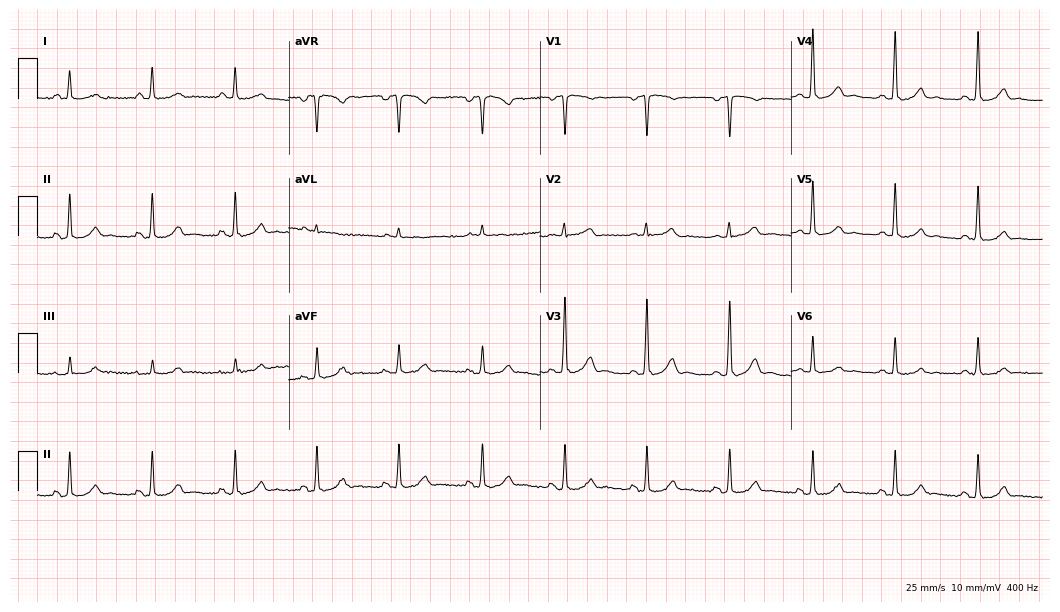
Resting 12-lead electrocardiogram. Patient: a man, 67 years old. Read as a normal ECG.